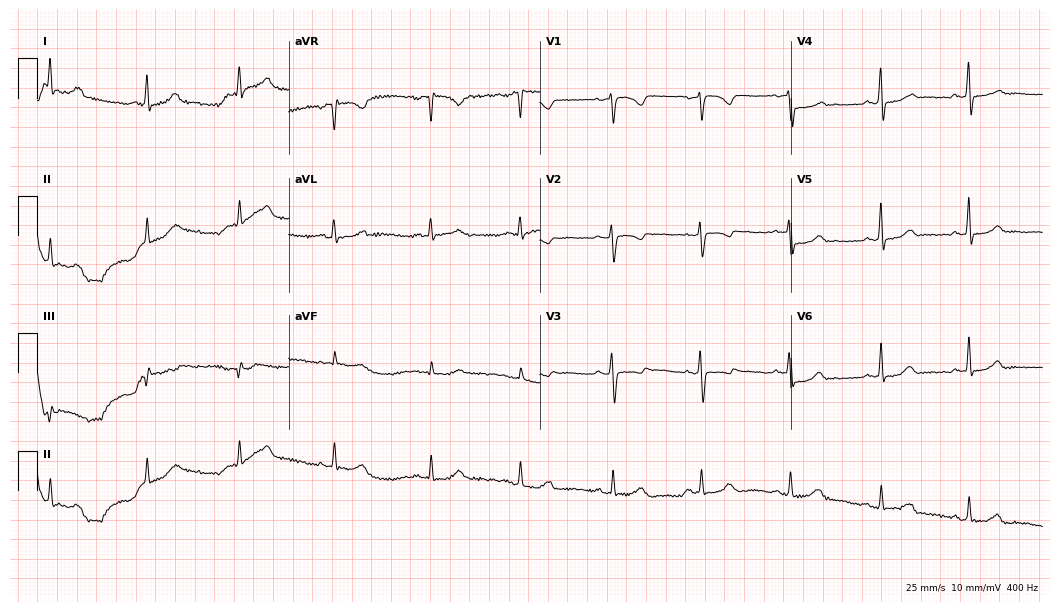
12-lead ECG from a woman, 30 years old. Recorded interpretation: within normal limits.